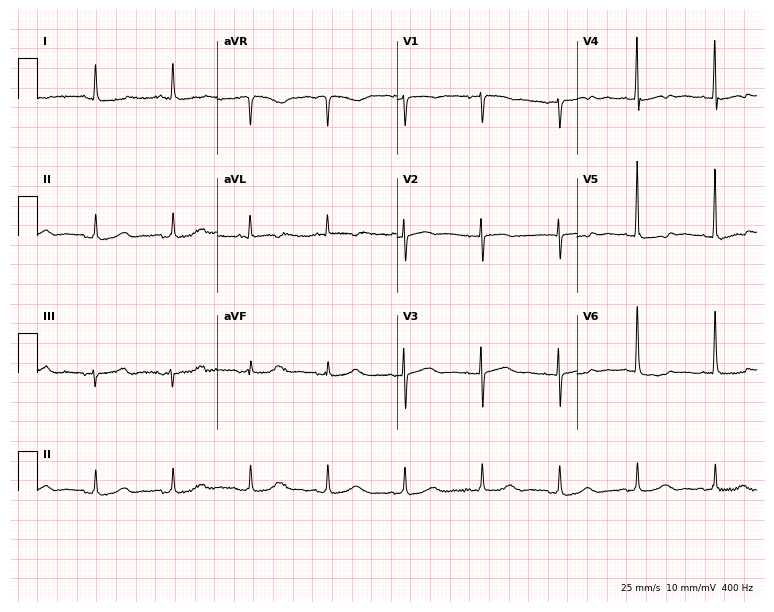
Standard 12-lead ECG recorded from a female, 84 years old. None of these six findings is recorded: first-degree AV block, right bundle branch block, left bundle branch block, sinus bradycardia, atrial fibrillation, sinus tachycardia.